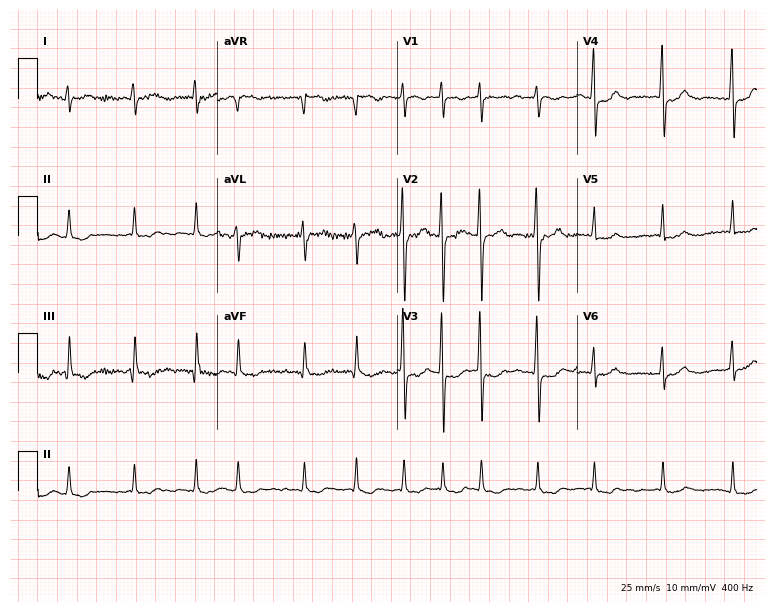
Standard 12-lead ECG recorded from a 62-year-old female (7.3-second recording at 400 Hz). The tracing shows atrial fibrillation (AF).